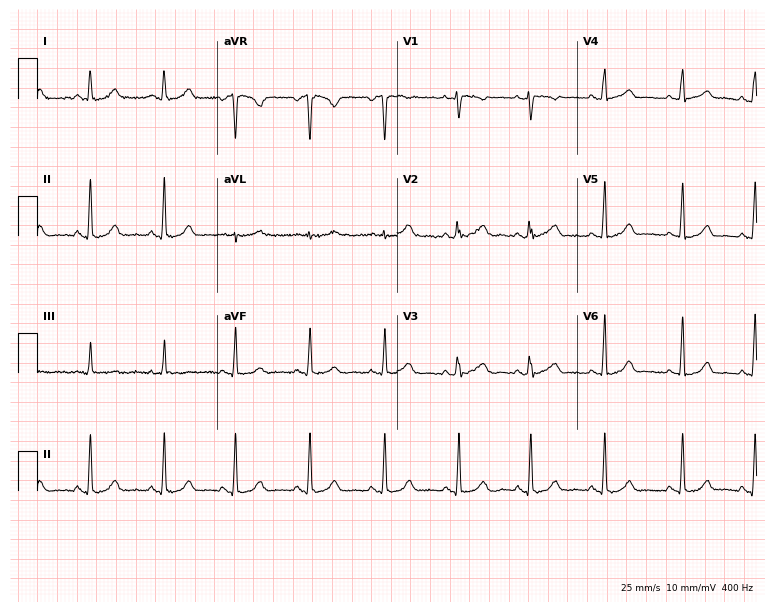
ECG (7.3-second recording at 400 Hz) — a 47-year-old female patient. Labelled as a normal ECG.